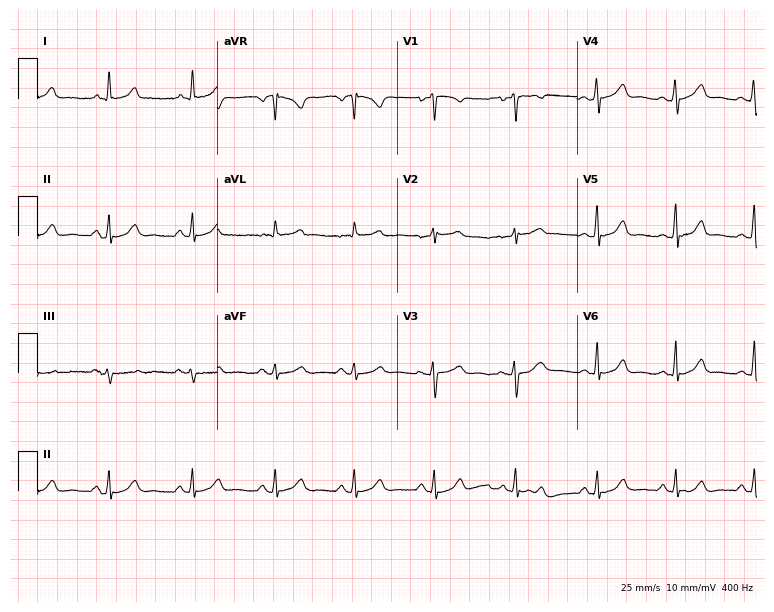
Electrocardiogram (7.3-second recording at 400 Hz), a female, 44 years old. Overall reading on record: normal ECG.